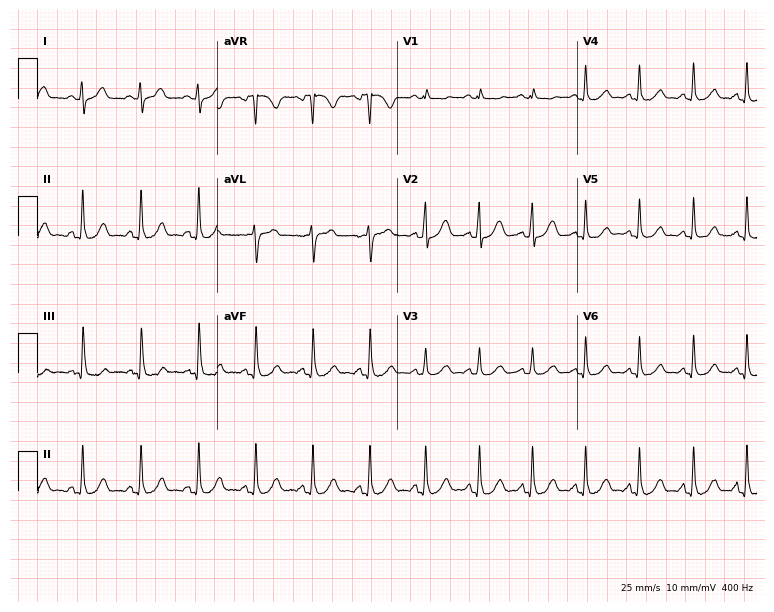
Standard 12-lead ECG recorded from a female patient, 20 years old (7.3-second recording at 400 Hz). The tracing shows sinus tachycardia (a sinus rate of 100 beats per minute or more).